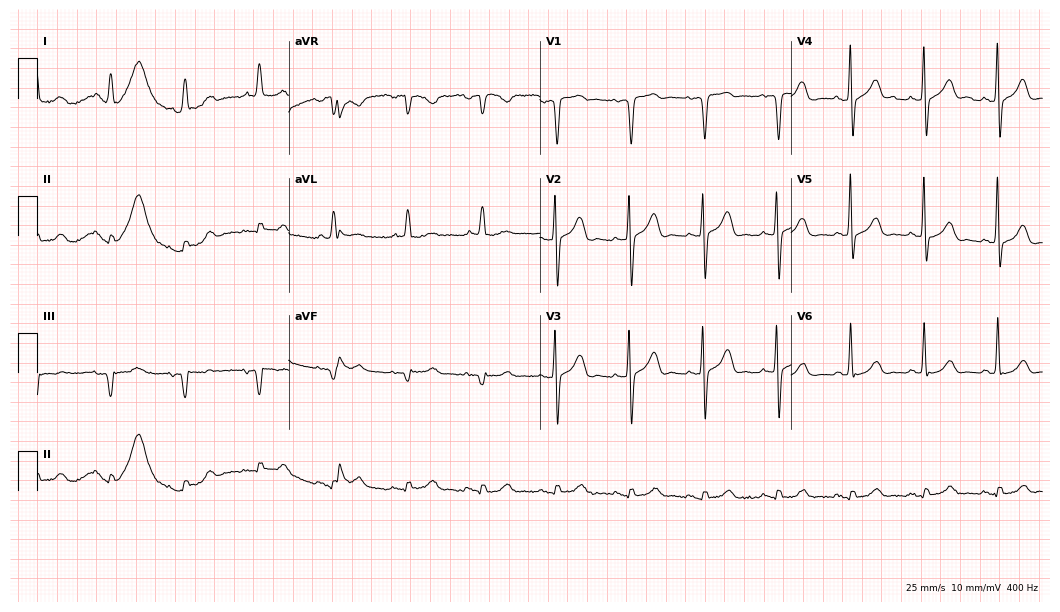
Resting 12-lead electrocardiogram (10.2-second recording at 400 Hz). Patient: an 86-year-old female. None of these six findings is recorded: first-degree AV block, right bundle branch block, left bundle branch block, sinus bradycardia, atrial fibrillation, sinus tachycardia.